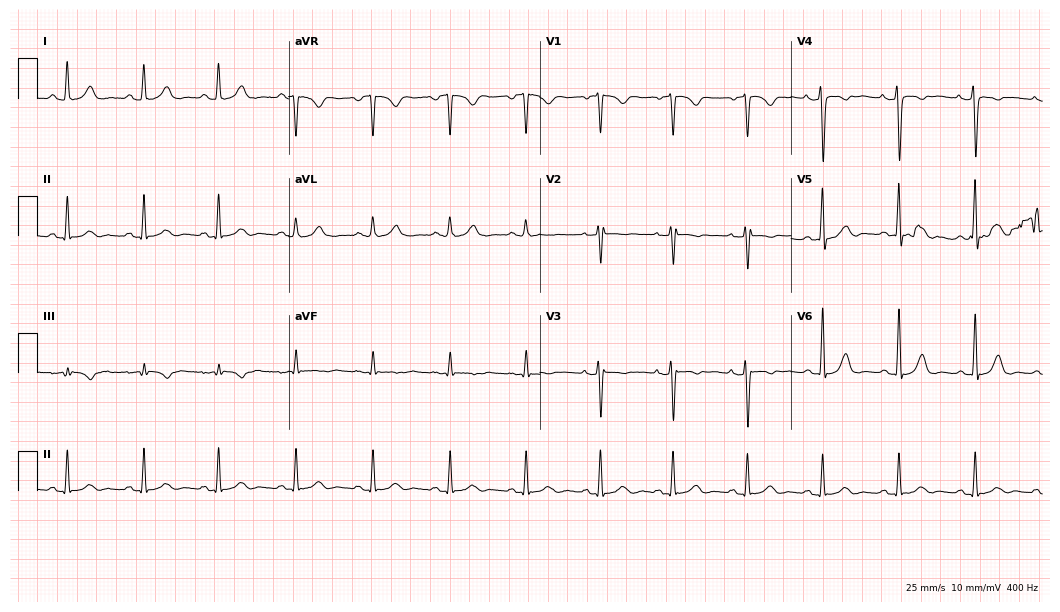
12-lead ECG (10.2-second recording at 400 Hz) from a 36-year-old female. Screened for six findings — first-degree AV block, right bundle branch block, left bundle branch block, sinus bradycardia, atrial fibrillation, sinus tachycardia — none is recorded. Findings outside these six are not listed.